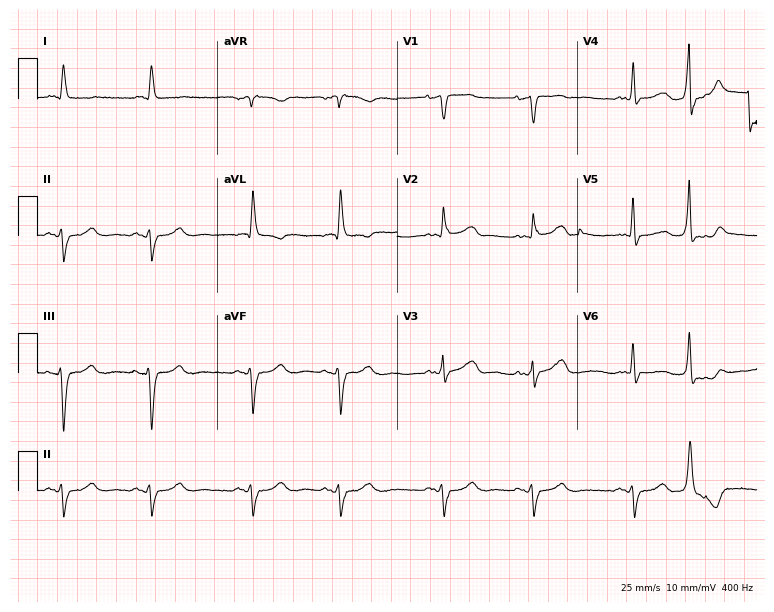
Resting 12-lead electrocardiogram (7.3-second recording at 400 Hz). Patient: an 81-year-old man. None of these six findings is recorded: first-degree AV block, right bundle branch block, left bundle branch block, sinus bradycardia, atrial fibrillation, sinus tachycardia. Findings outside these six are not listed.